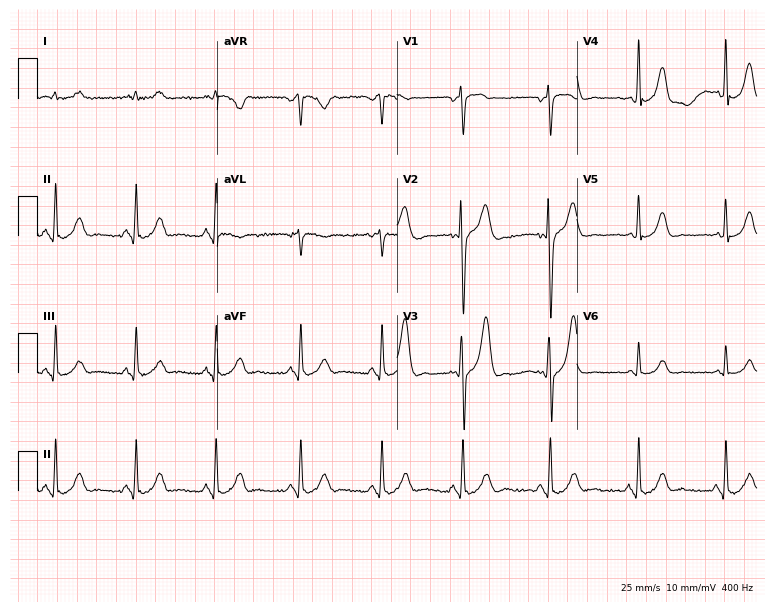
Resting 12-lead electrocardiogram (7.3-second recording at 400 Hz). Patient: a 41-year-old man. Read as a normal ECG.